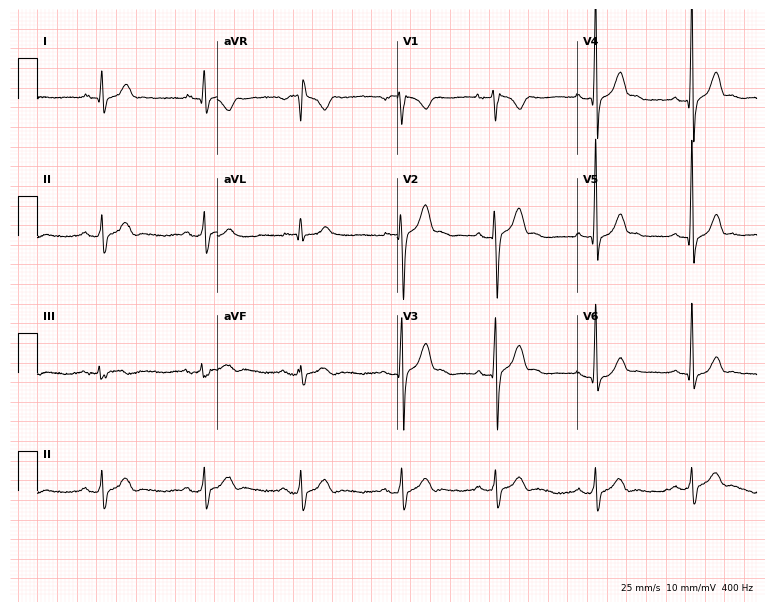
Standard 12-lead ECG recorded from a male patient, 21 years old (7.3-second recording at 400 Hz). None of these six findings is recorded: first-degree AV block, right bundle branch block, left bundle branch block, sinus bradycardia, atrial fibrillation, sinus tachycardia. Only these six findings were labelled.